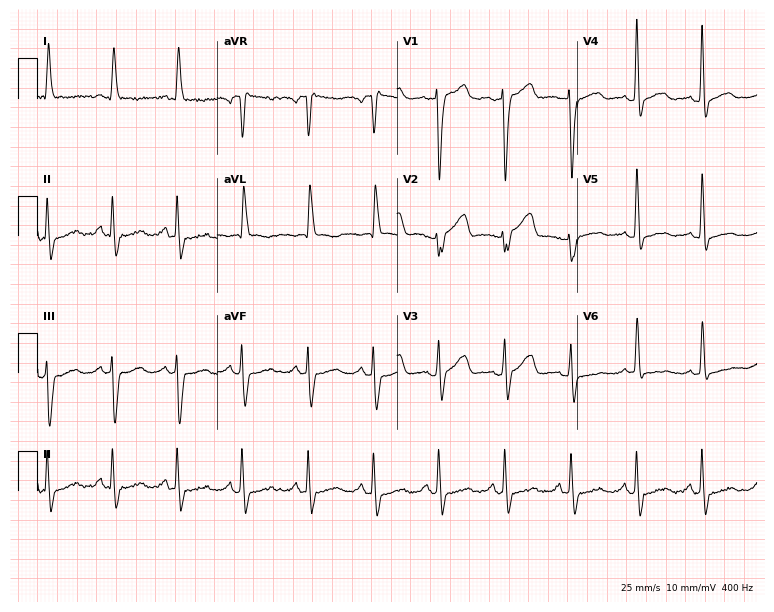
ECG — a 75-year-old female. Screened for six findings — first-degree AV block, right bundle branch block, left bundle branch block, sinus bradycardia, atrial fibrillation, sinus tachycardia — none is recorded.